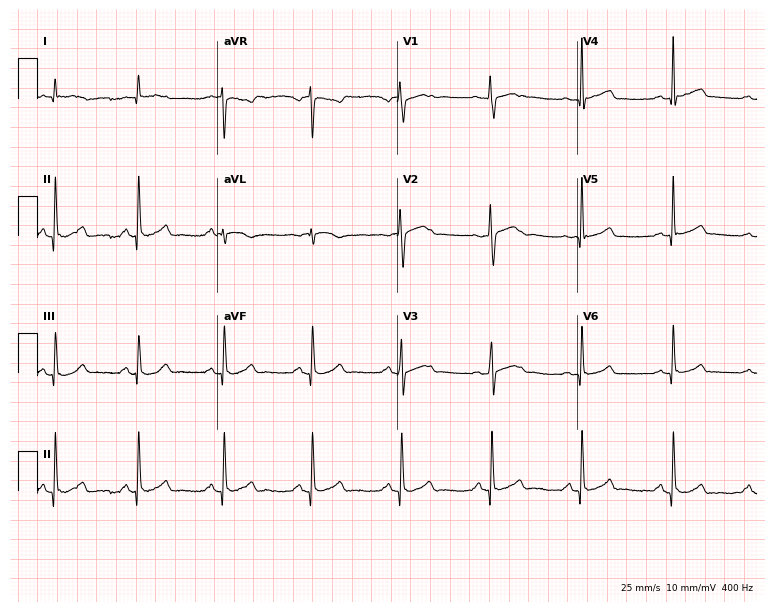
12-lead ECG from a man, 47 years old (7.3-second recording at 400 Hz). Recorded interpretation: within normal limits.